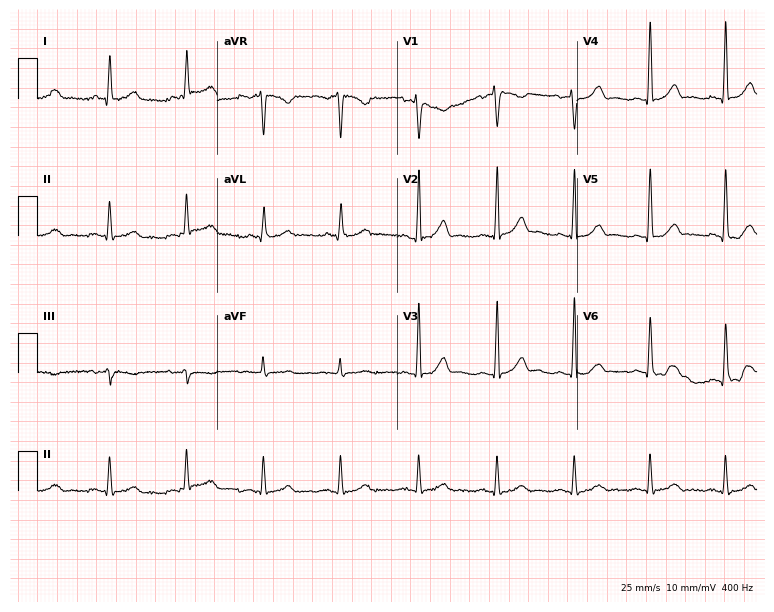
Electrocardiogram, a male patient, 55 years old. Overall reading on record: normal ECG.